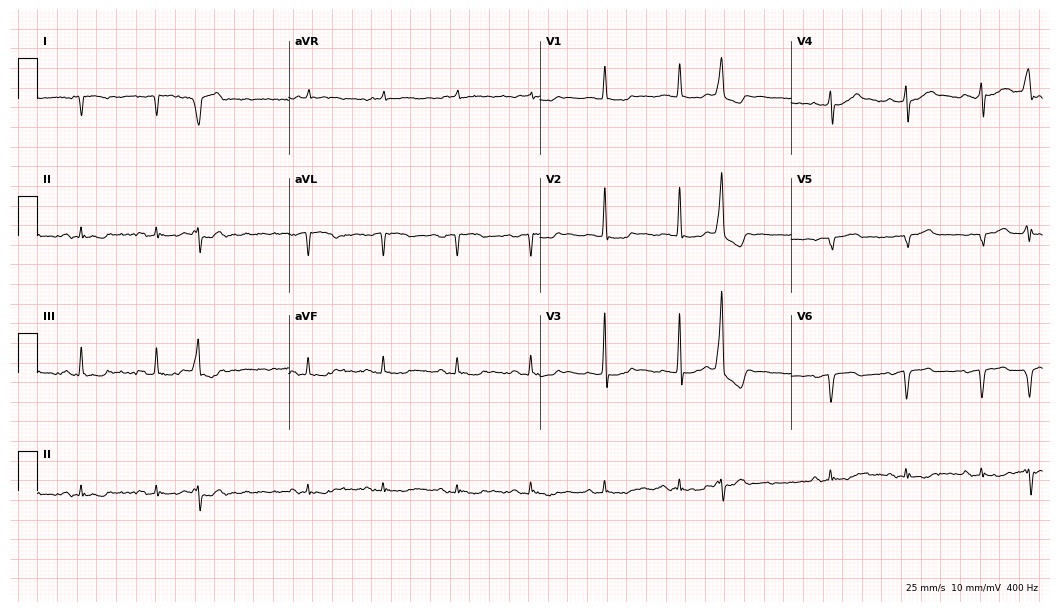
Standard 12-lead ECG recorded from a male patient, 68 years old (10.2-second recording at 400 Hz). None of these six findings is recorded: first-degree AV block, right bundle branch block, left bundle branch block, sinus bradycardia, atrial fibrillation, sinus tachycardia. Findings outside these six are not listed.